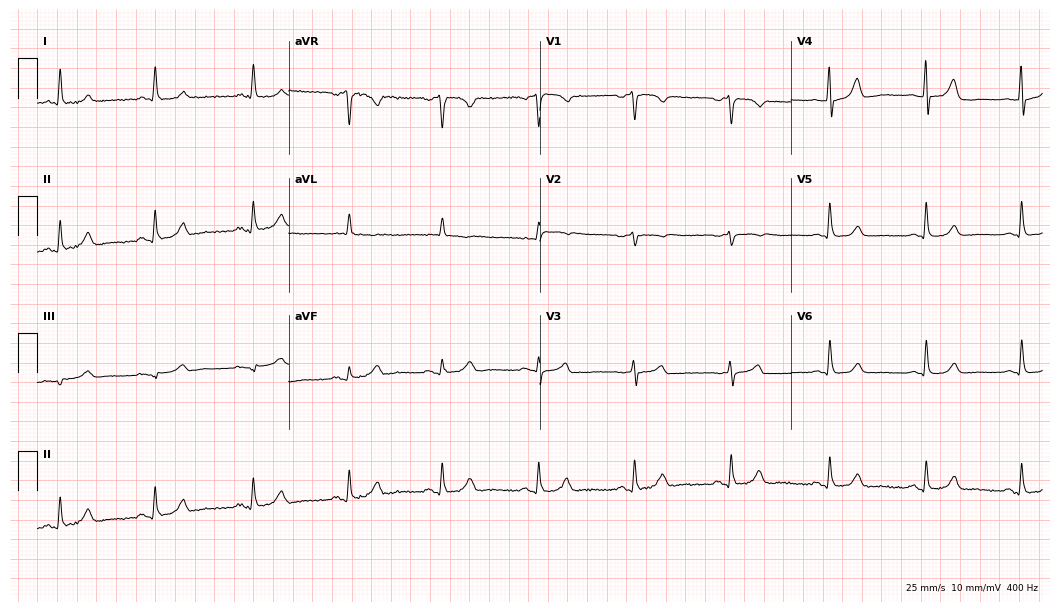
Electrocardiogram, an 84-year-old female. Of the six screened findings (first-degree AV block, right bundle branch block (RBBB), left bundle branch block (LBBB), sinus bradycardia, atrial fibrillation (AF), sinus tachycardia), none is recorded.